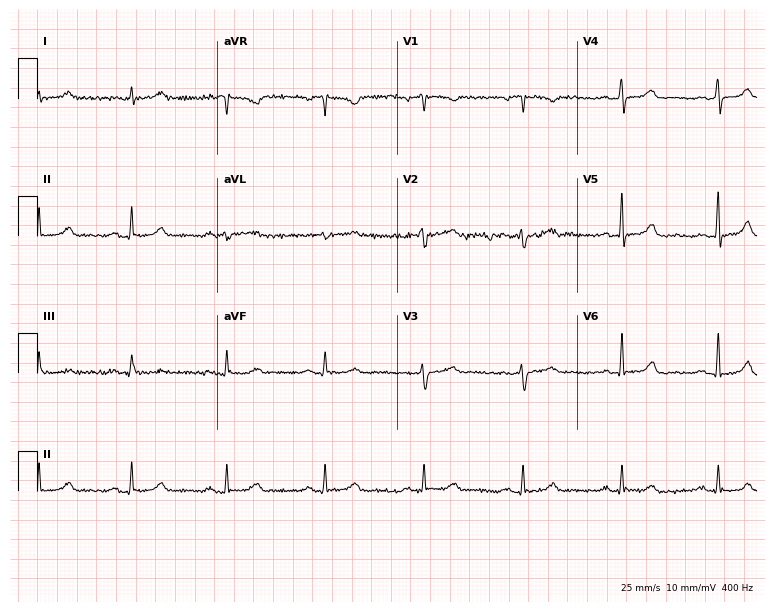
12-lead ECG from a 55-year-old female patient. No first-degree AV block, right bundle branch block (RBBB), left bundle branch block (LBBB), sinus bradycardia, atrial fibrillation (AF) or sinus tachycardia recorded for this tracing.